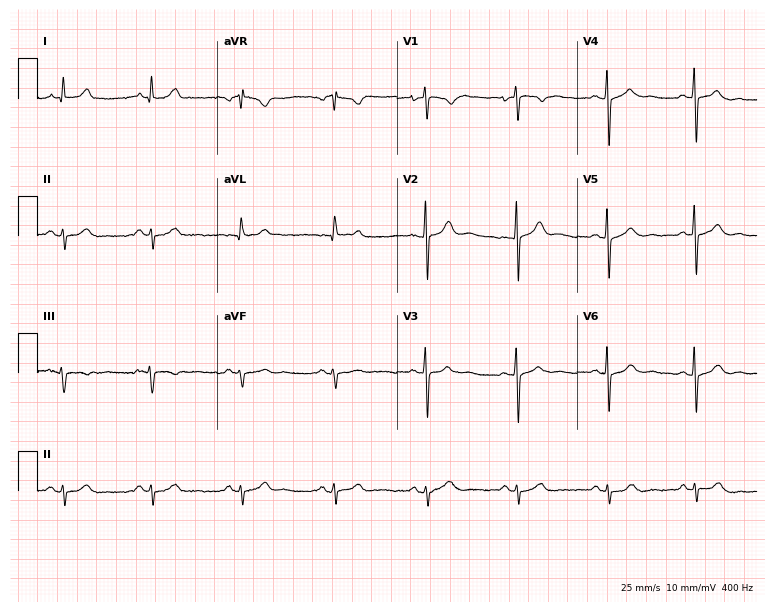
ECG — a man, 76 years old. Screened for six findings — first-degree AV block, right bundle branch block (RBBB), left bundle branch block (LBBB), sinus bradycardia, atrial fibrillation (AF), sinus tachycardia — none is recorded. Other findings, if any, are not listed.